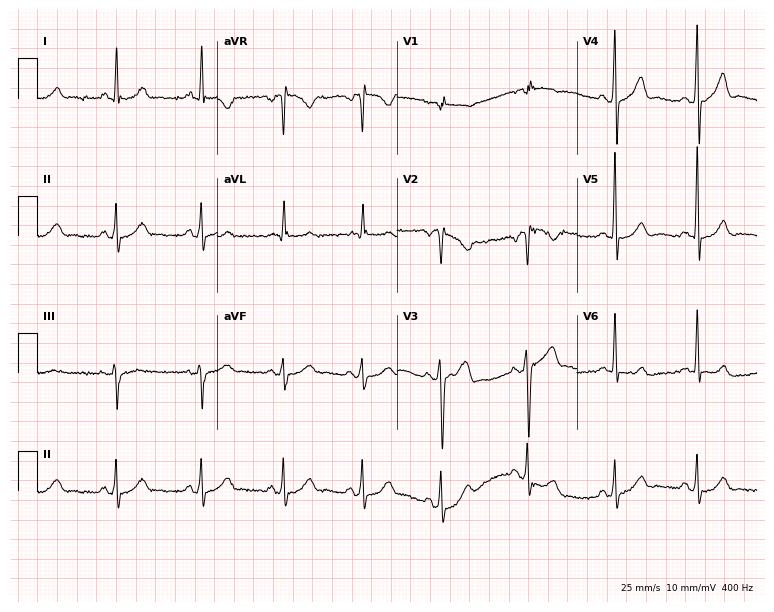
Resting 12-lead electrocardiogram. Patient: a 36-year-old male. None of these six findings is recorded: first-degree AV block, right bundle branch block (RBBB), left bundle branch block (LBBB), sinus bradycardia, atrial fibrillation (AF), sinus tachycardia. Other findings, if any, are not listed.